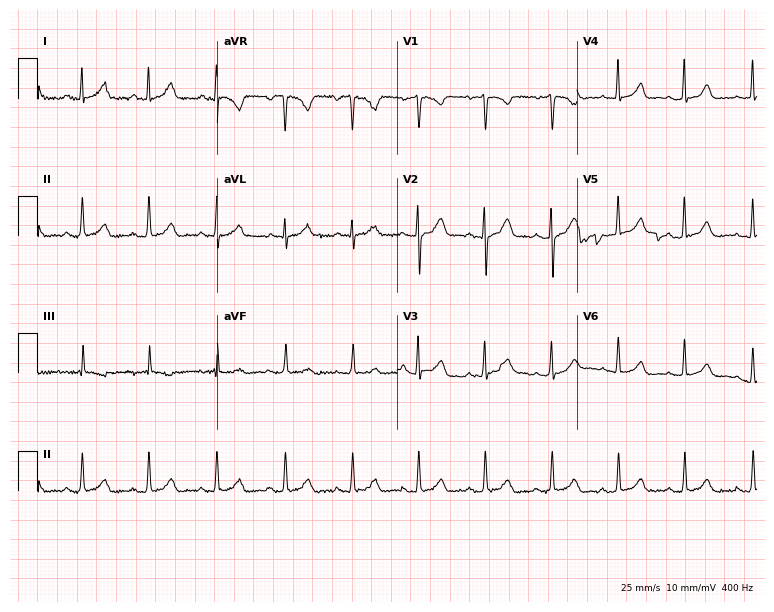
Resting 12-lead electrocardiogram. Patient: a 35-year-old female. Read as a normal ECG.